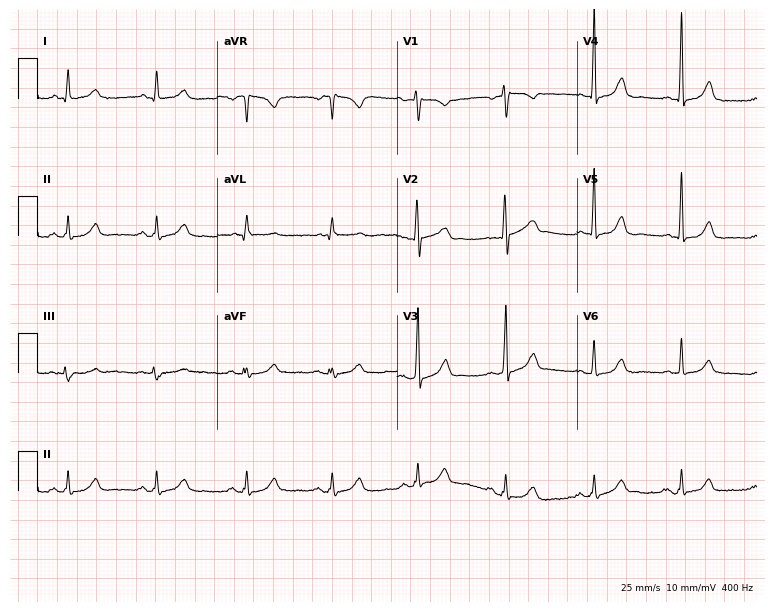
12-lead ECG from a 47-year-old female patient (7.3-second recording at 400 Hz). Recorded interpretation: within normal limits.